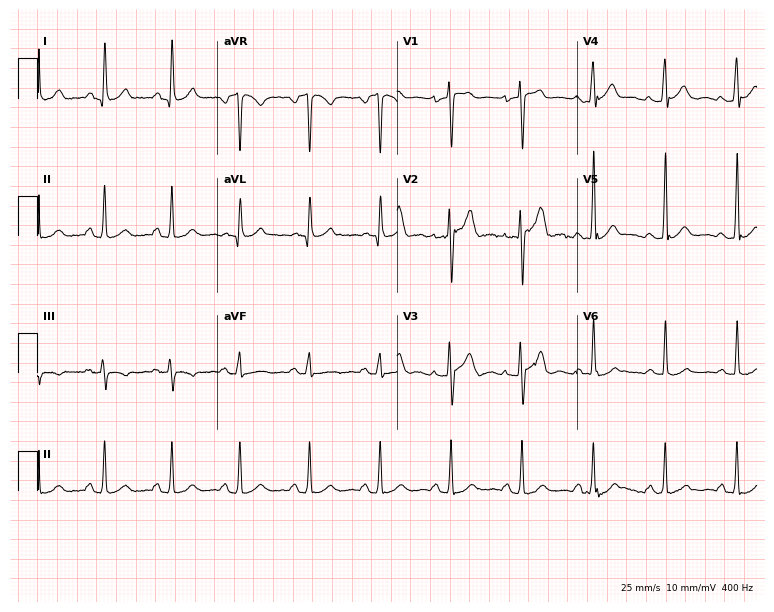
ECG (7.3-second recording at 400 Hz) — a 46-year-old male. Labelled as a normal ECG.